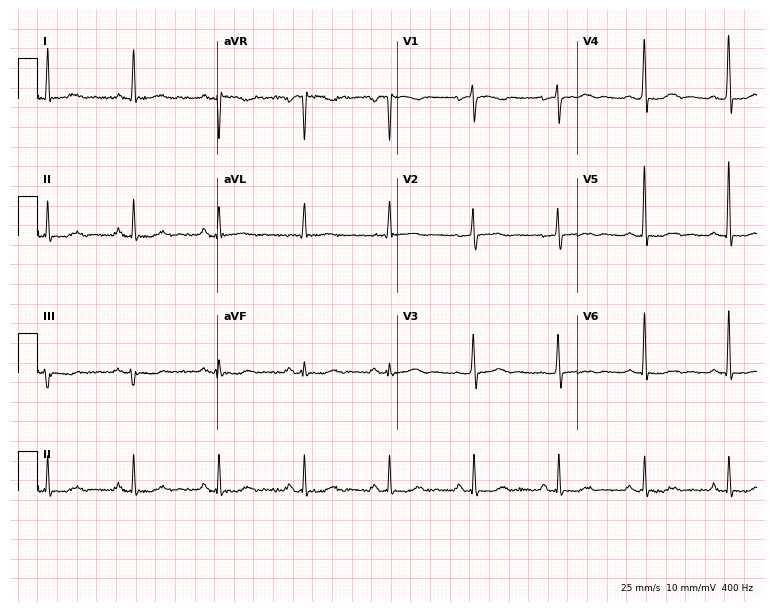
12-lead ECG (7.3-second recording at 400 Hz) from an 85-year-old woman. Screened for six findings — first-degree AV block, right bundle branch block, left bundle branch block, sinus bradycardia, atrial fibrillation, sinus tachycardia — none is recorded.